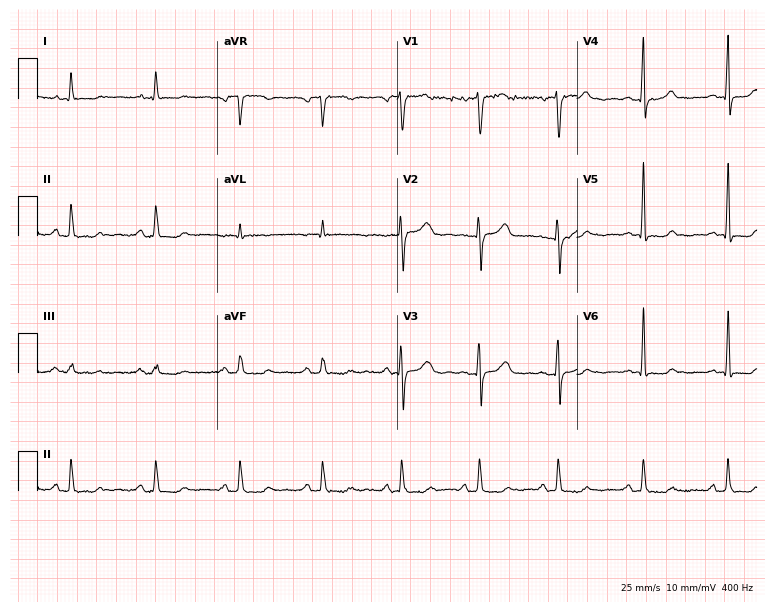
Standard 12-lead ECG recorded from a female patient, 74 years old. Read as a normal ECG.